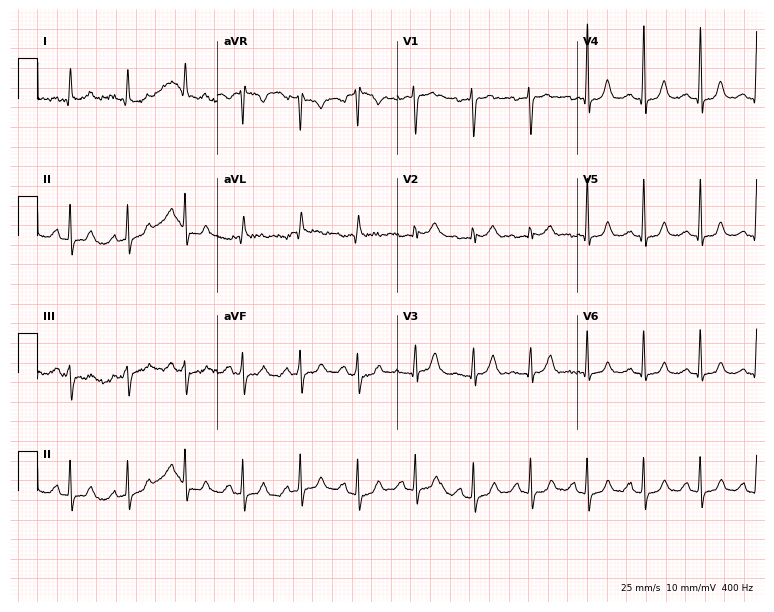
Resting 12-lead electrocardiogram (7.3-second recording at 400 Hz). Patient: a female, 43 years old. The tracing shows sinus tachycardia (a sinus rate of 100 beats per minute or more).